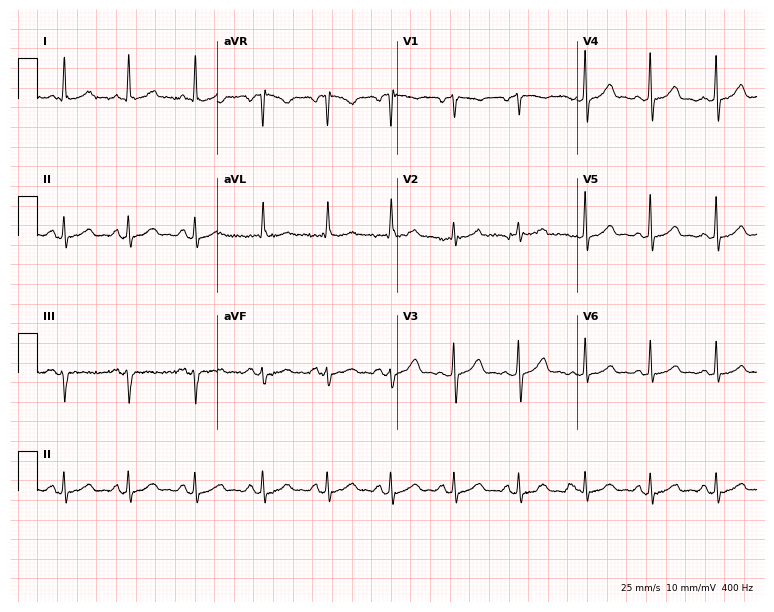
12-lead ECG from a female patient, 55 years old (7.3-second recording at 400 Hz). No first-degree AV block, right bundle branch block (RBBB), left bundle branch block (LBBB), sinus bradycardia, atrial fibrillation (AF) or sinus tachycardia recorded for this tracing.